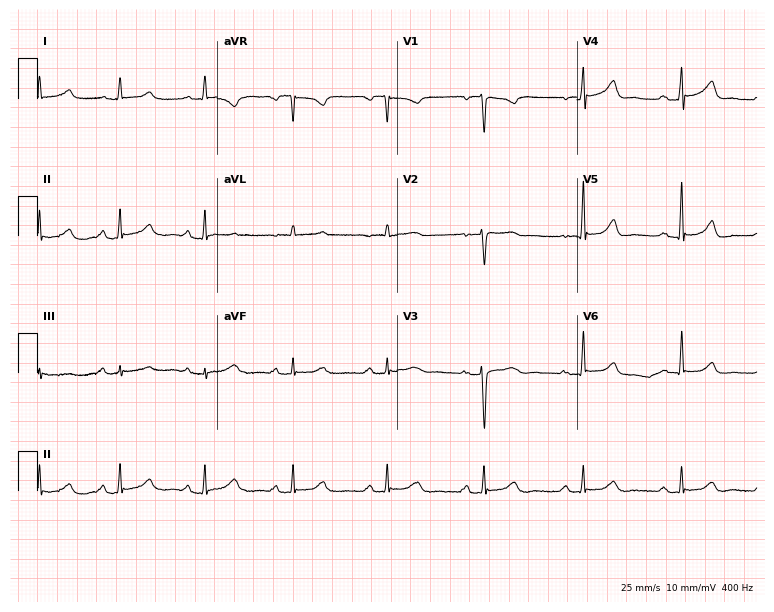
12-lead ECG from a female patient, 45 years old. Screened for six findings — first-degree AV block, right bundle branch block, left bundle branch block, sinus bradycardia, atrial fibrillation, sinus tachycardia — none is recorded. Only these six findings were labelled.